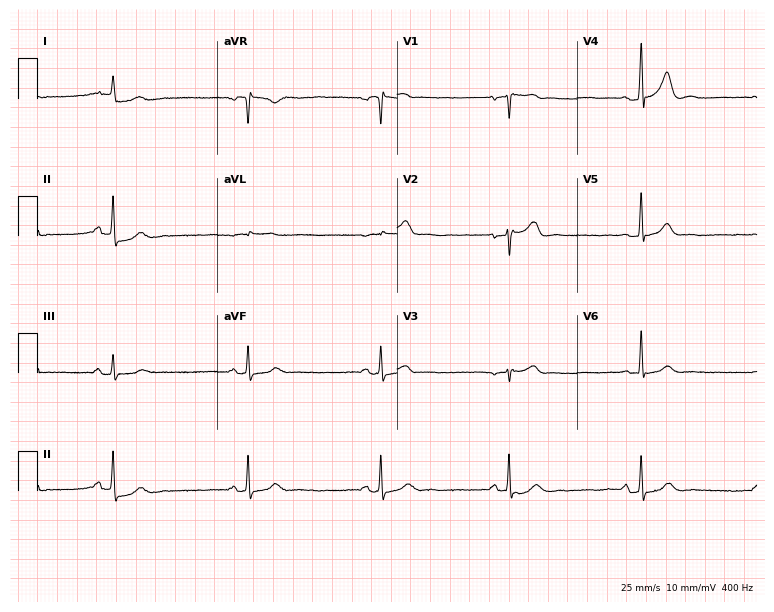
Standard 12-lead ECG recorded from a 72-year-old male patient (7.3-second recording at 400 Hz). The tracing shows sinus bradycardia (a sinus rate of 50 beats per minute or less).